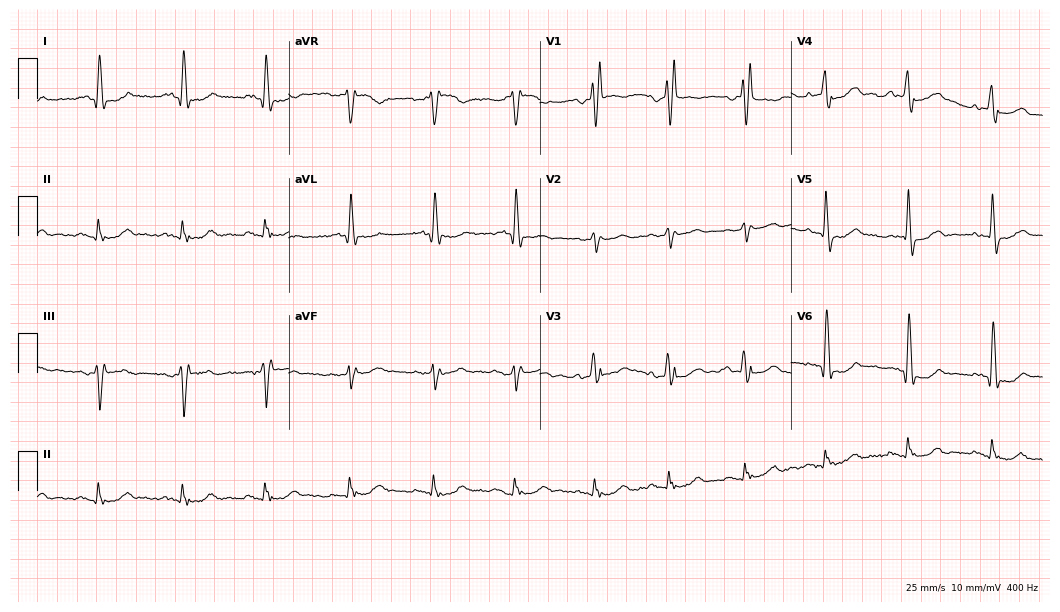
Electrocardiogram (10.2-second recording at 400 Hz), a 78-year-old male. Of the six screened findings (first-degree AV block, right bundle branch block, left bundle branch block, sinus bradycardia, atrial fibrillation, sinus tachycardia), none is recorded.